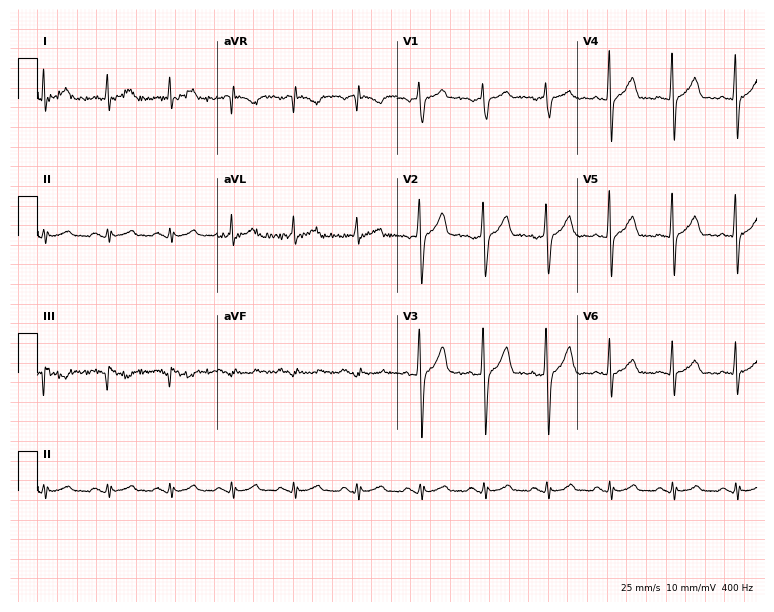
Standard 12-lead ECG recorded from a 57-year-old male patient (7.3-second recording at 400 Hz). Read as a normal ECG.